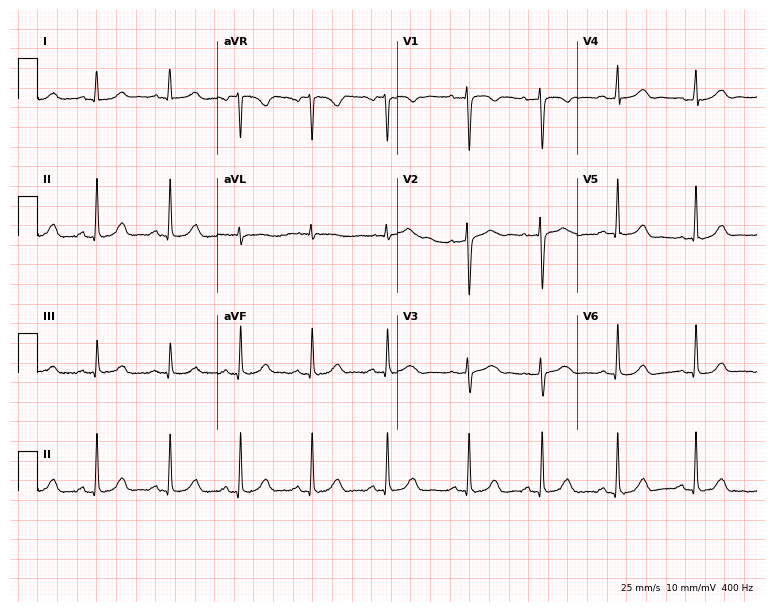
Standard 12-lead ECG recorded from a 33-year-old female (7.3-second recording at 400 Hz). Read as a normal ECG.